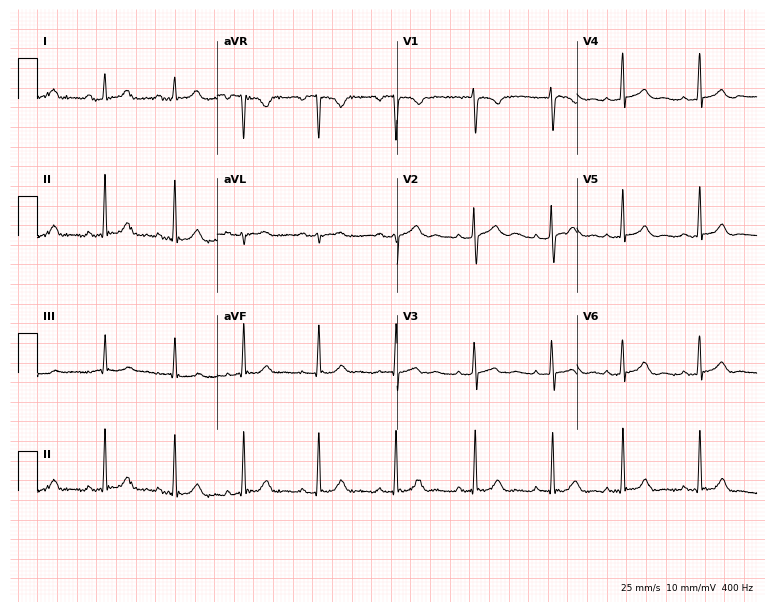
Standard 12-lead ECG recorded from a 17-year-old woman. Read as a normal ECG.